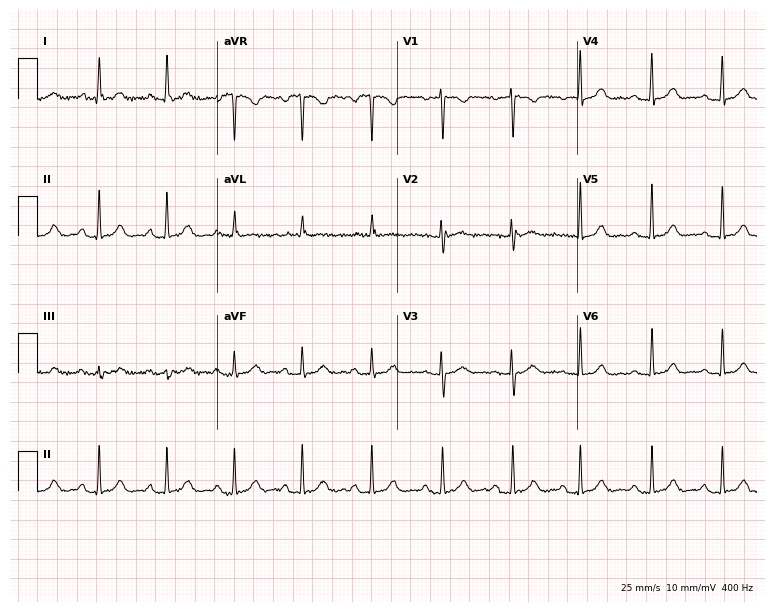
Resting 12-lead electrocardiogram (7.3-second recording at 400 Hz). Patient: a 40-year-old female. Read as a normal ECG.